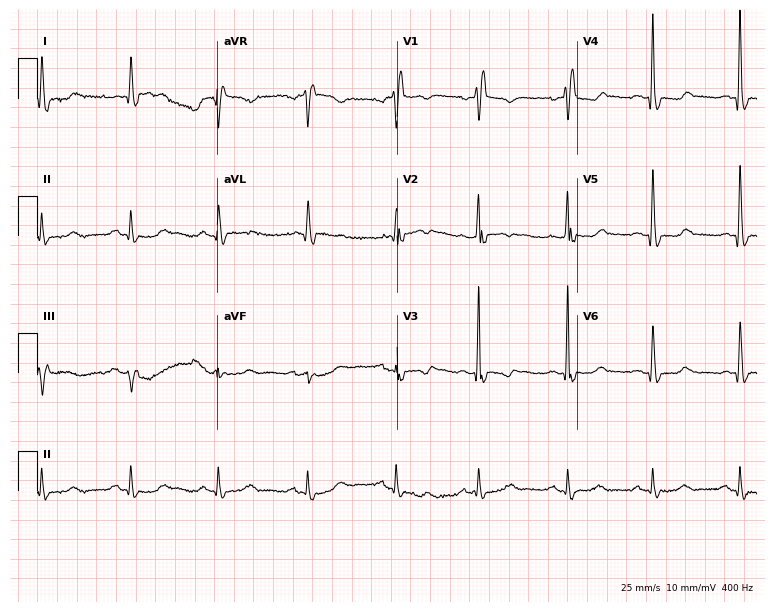
ECG (7.3-second recording at 400 Hz) — a male patient, 62 years old. Findings include right bundle branch block.